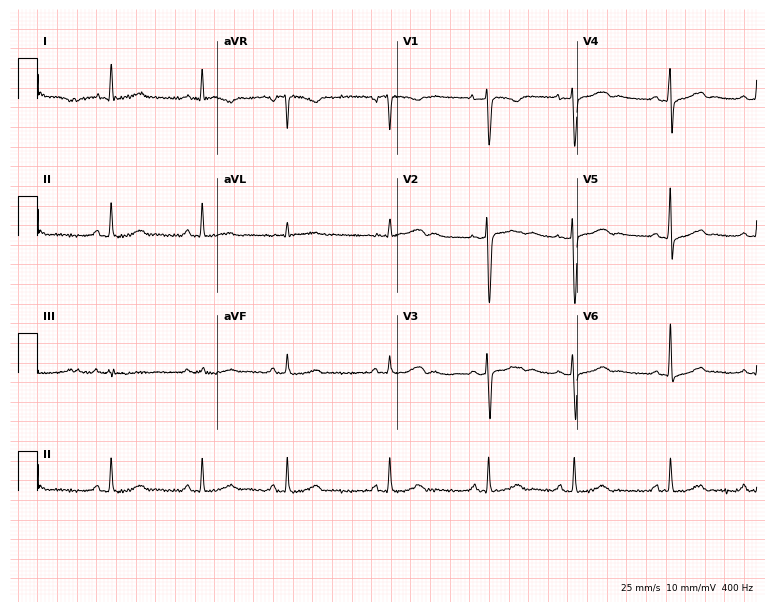
Resting 12-lead electrocardiogram (7.3-second recording at 400 Hz). Patient: a 39-year-old woman. None of these six findings is recorded: first-degree AV block, right bundle branch block, left bundle branch block, sinus bradycardia, atrial fibrillation, sinus tachycardia. Findings outside these six are not listed.